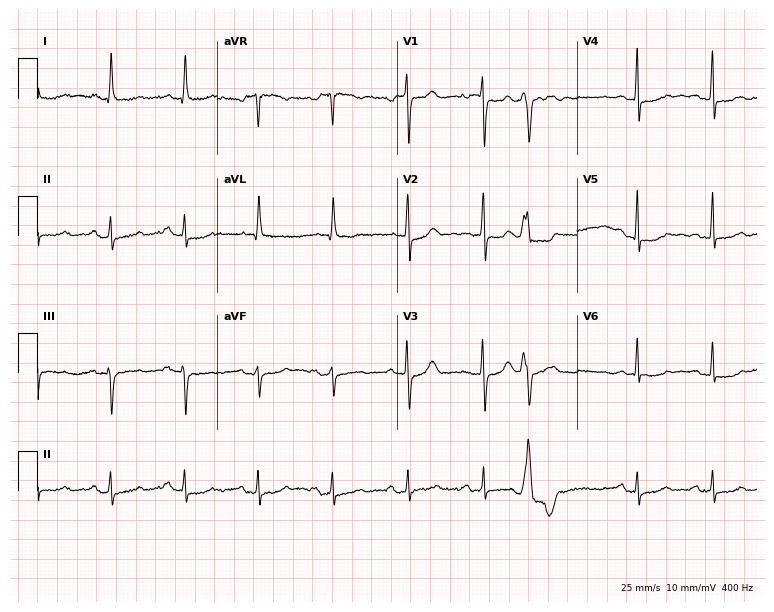
12-lead ECG (7.3-second recording at 400 Hz) from a 71-year-old man. Screened for six findings — first-degree AV block, right bundle branch block, left bundle branch block, sinus bradycardia, atrial fibrillation, sinus tachycardia — none is recorded. Findings outside these six are not listed.